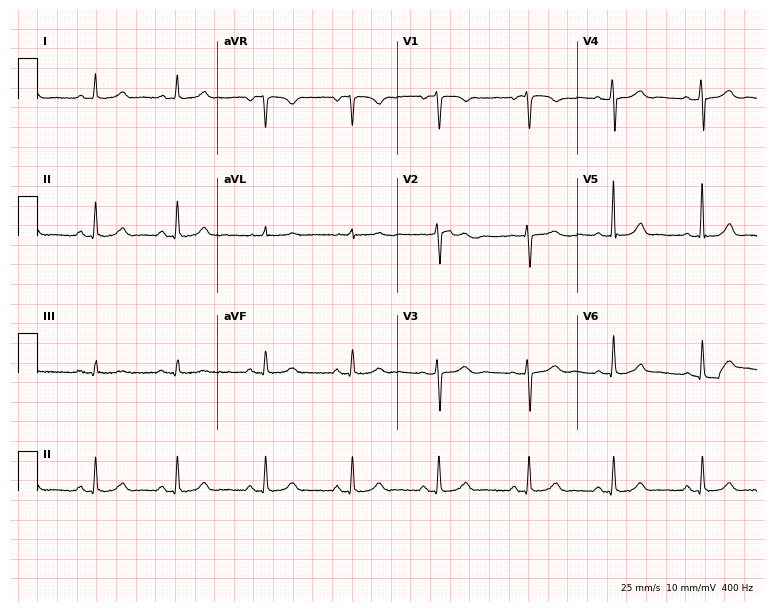
Electrocardiogram, a 35-year-old female patient. Overall reading on record: normal ECG.